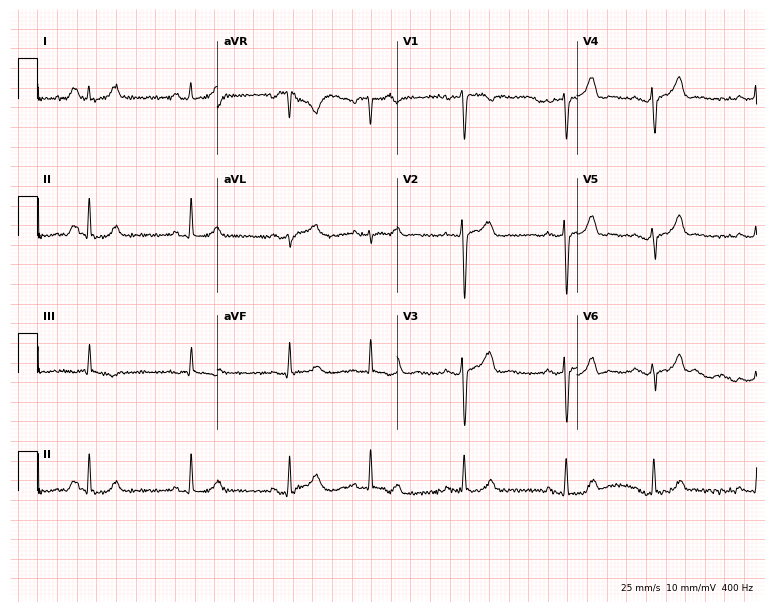
Resting 12-lead electrocardiogram (7.3-second recording at 400 Hz). Patient: a woman, 24 years old. None of these six findings is recorded: first-degree AV block, right bundle branch block, left bundle branch block, sinus bradycardia, atrial fibrillation, sinus tachycardia. Other findings, if any, are not listed.